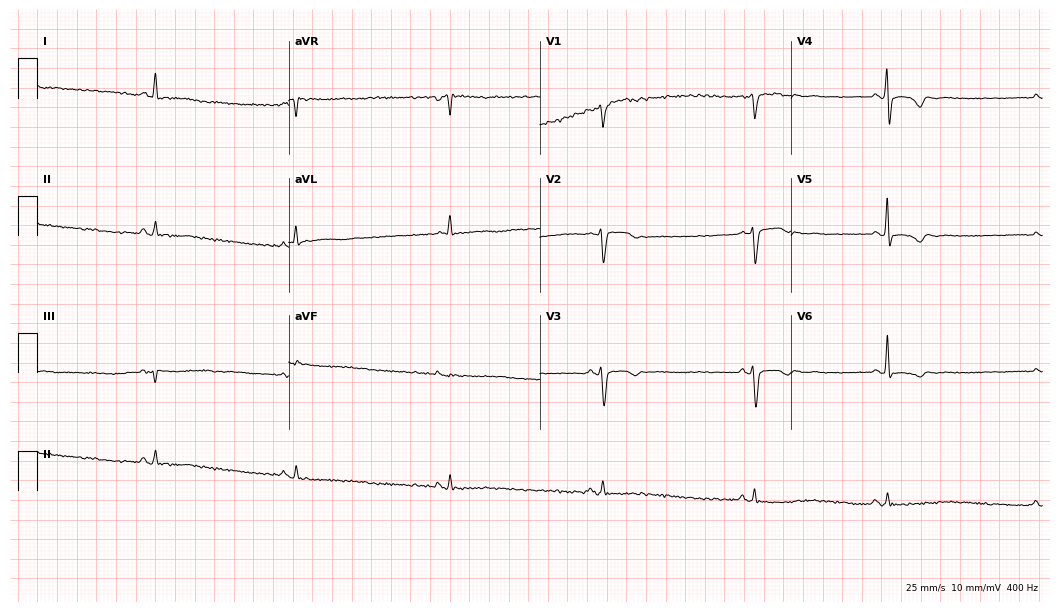
Standard 12-lead ECG recorded from a 54-year-old female patient. None of these six findings is recorded: first-degree AV block, right bundle branch block, left bundle branch block, sinus bradycardia, atrial fibrillation, sinus tachycardia. Only these six findings were labelled.